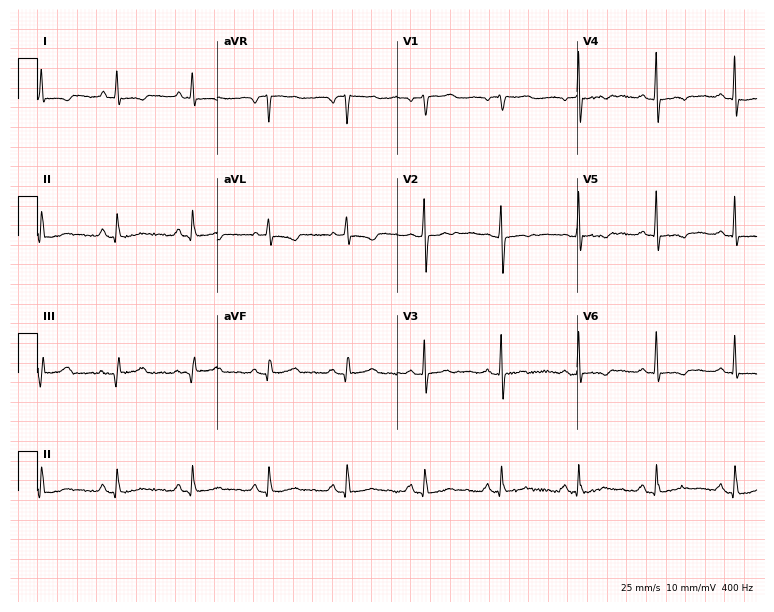
12-lead ECG from a 60-year-old female. Screened for six findings — first-degree AV block, right bundle branch block, left bundle branch block, sinus bradycardia, atrial fibrillation, sinus tachycardia — none is recorded.